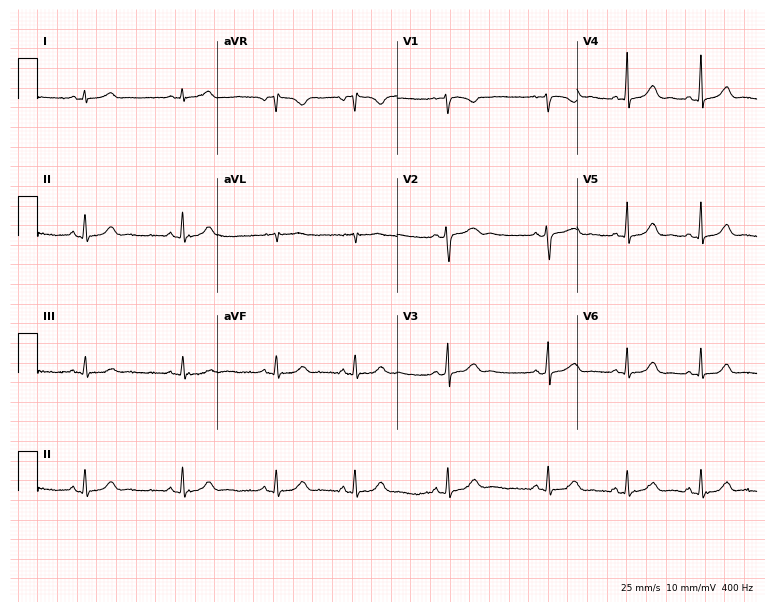
ECG — an 18-year-old female patient. Labelled as a normal ECG.